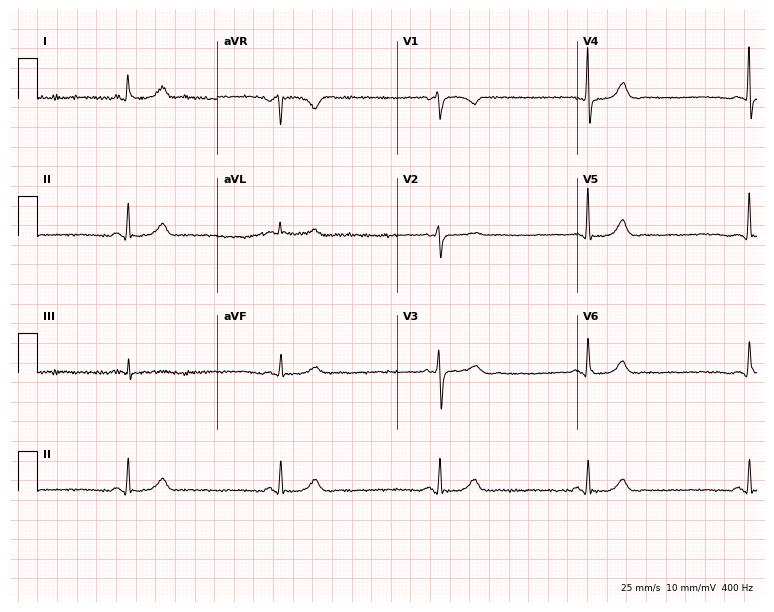
12-lead ECG from a woman, 65 years old. Shows sinus bradycardia (a sinus rate of 50 beats per minute or less).